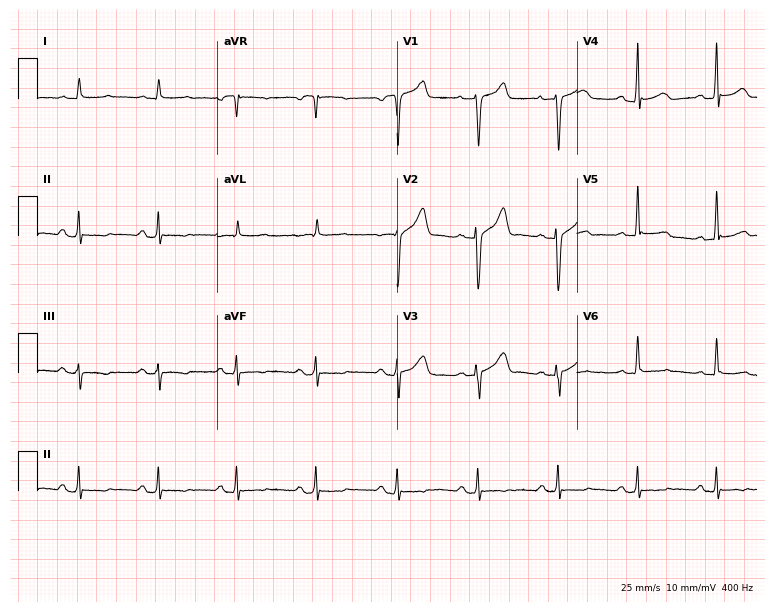
Electrocardiogram, a 66-year-old man. Of the six screened findings (first-degree AV block, right bundle branch block, left bundle branch block, sinus bradycardia, atrial fibrillation, sinus tachycardia), none is recorded. Findings outside these six are not listed.